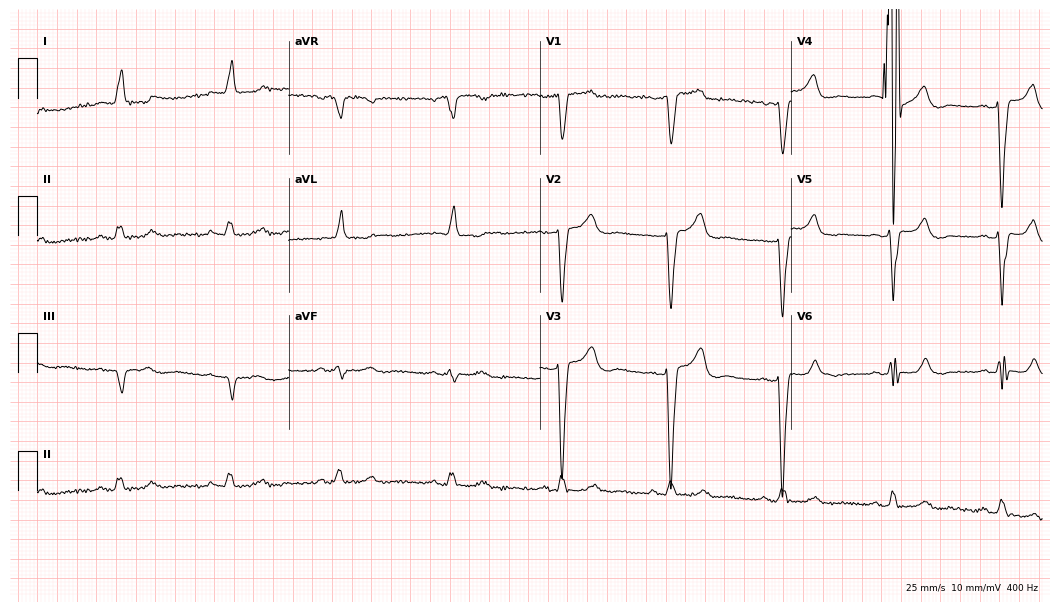
12-lead ECG (10.2-second recording at 400 Hz) from an 82-year-old male patient. Findings include left bundle branch block.